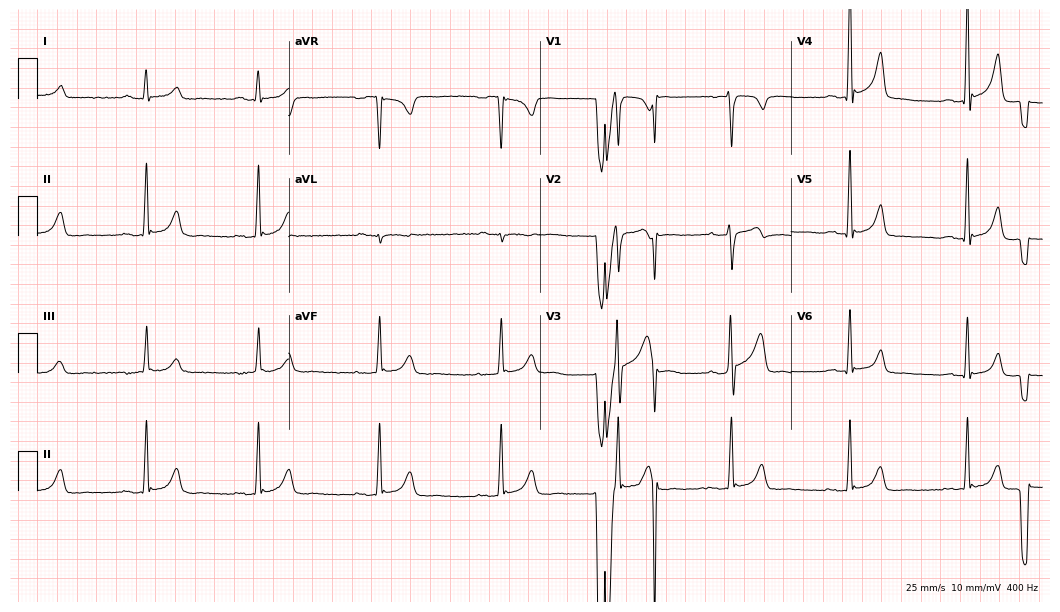
Electrocardiogram (10.2-second recording at 400 Hz), a 32-year-old male patient. Overall reading on record: normal ECG.